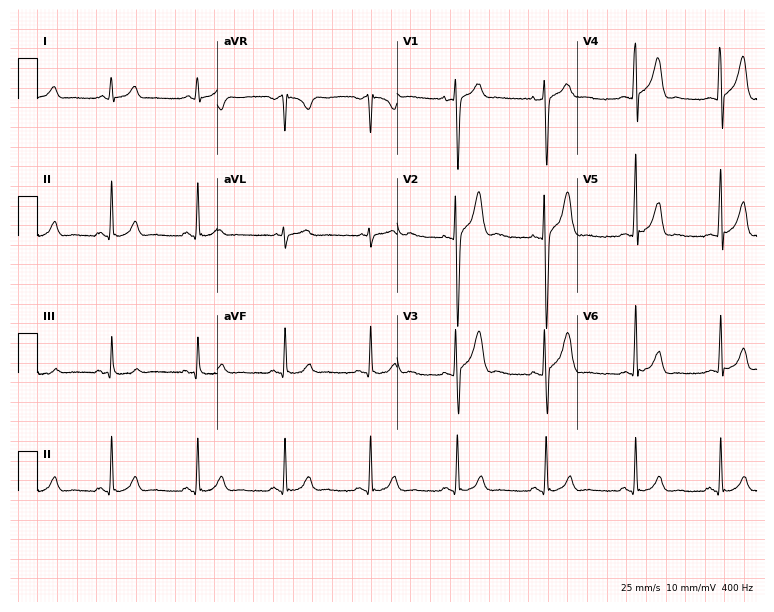
ECG (7.3-second recording at 400 Hz) — a male patient, 19 years old. Screened for six findings — first-degree AV block, right bundle branch block, left bundle branch block, sinus bradycardia, atrial fibrillation, sinus tachycardia — none is recorded.